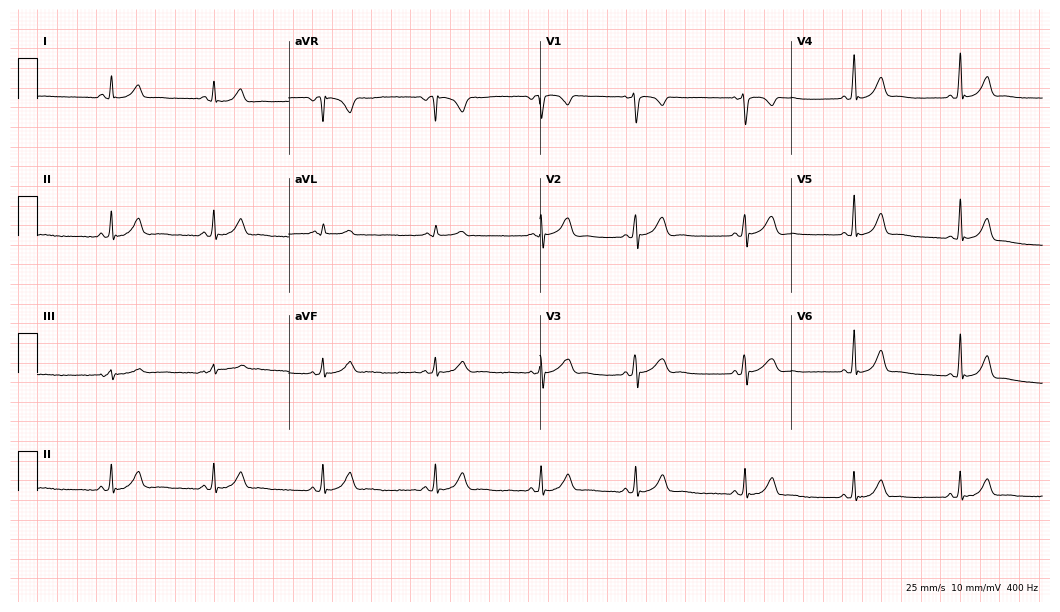
12-lead ECG from a 23-year-old female. Labelled as a normal ECG.